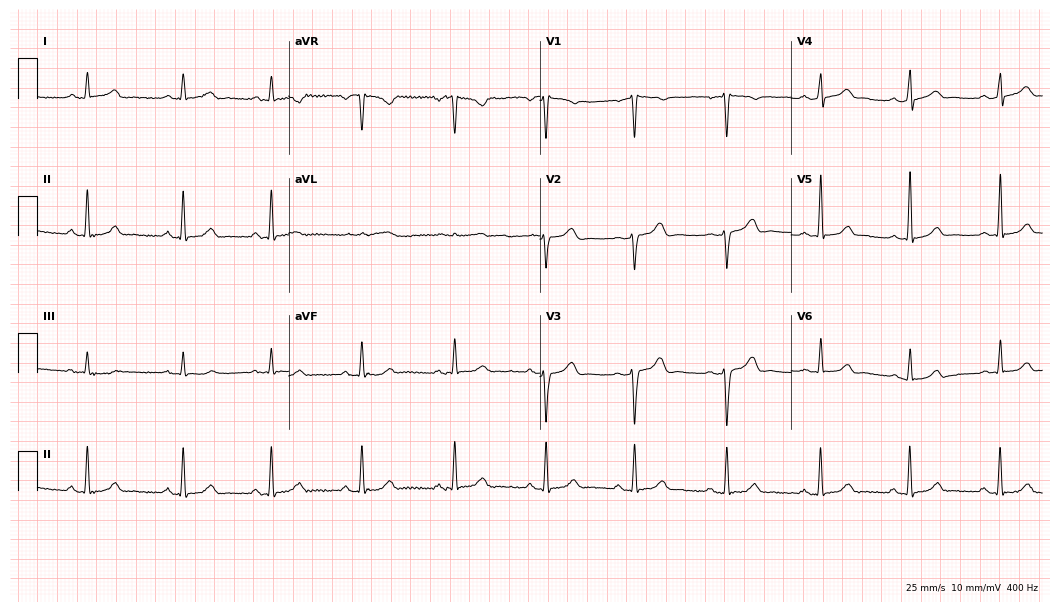
12-lead ECG from a woman, 43 years old. No first-degree AV block, right bundle branch block, left bundle branch block, sinus bradycardia, atrial fibrillation or sinus tachycardia recorded for this tracing. Findings outside these six are not listed.